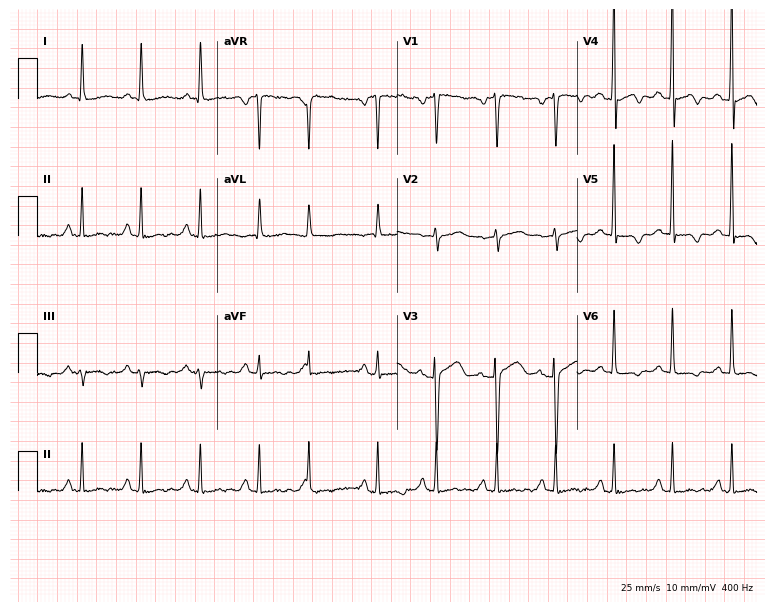
12-lead ECG from a 57-year-old woman. Screened for six findings — first-degree AV block, right bundle branch block, left bundle branch block, sinus bradycardia, atrial fibrillation, sinus tachycardia — none is recorded.